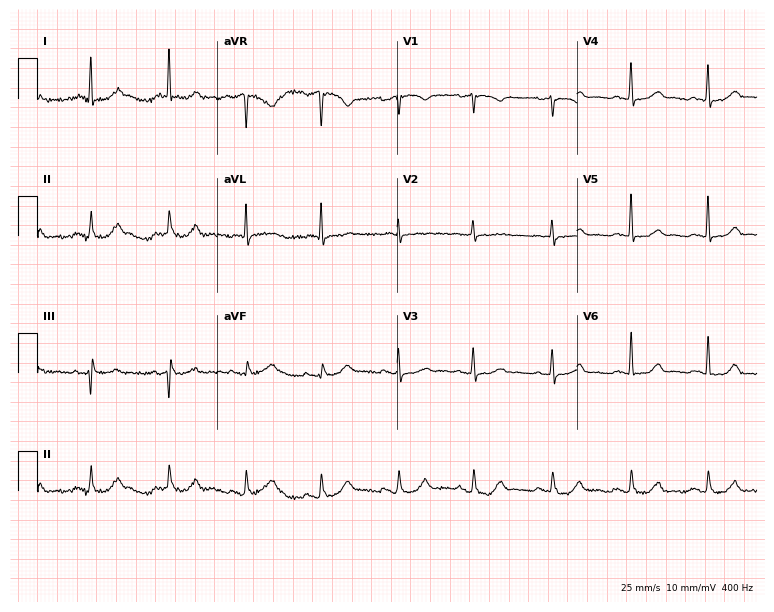
Standard 12-lead ECG recorded from a 79-year-old woman (7.3-second recording at 400 Hz). Read as a normal ECG.